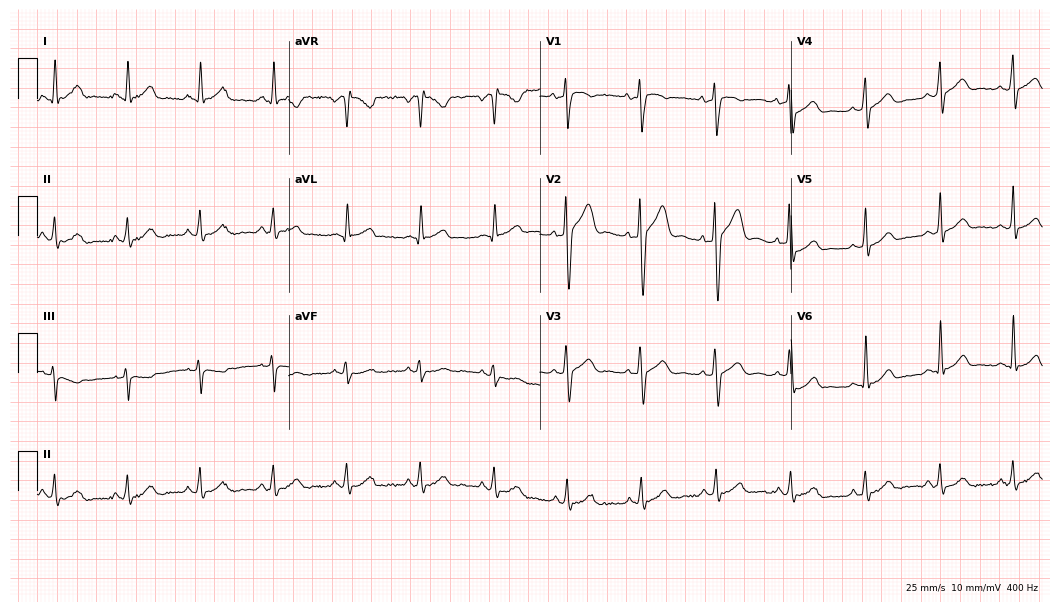
12-lead ECG (10.2-second recording at 400 Hz) from a male patient, 46 years old. Labelled as a normal ECG.